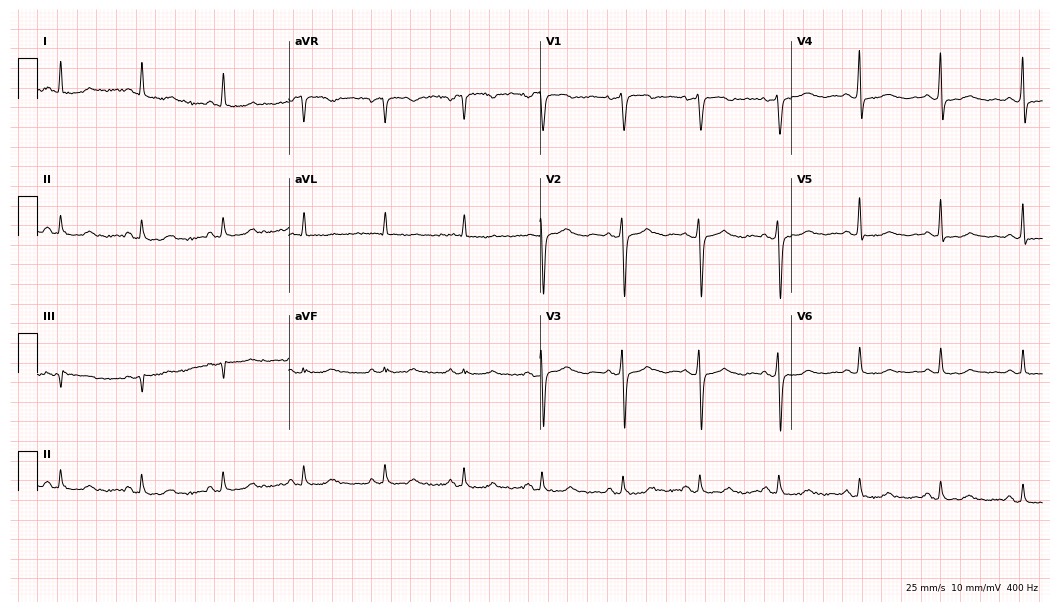
12-lead ECG from a 58-year-old female patient (10.2-second recording at 400 Hz). Recorded interpretation: within normal limits.